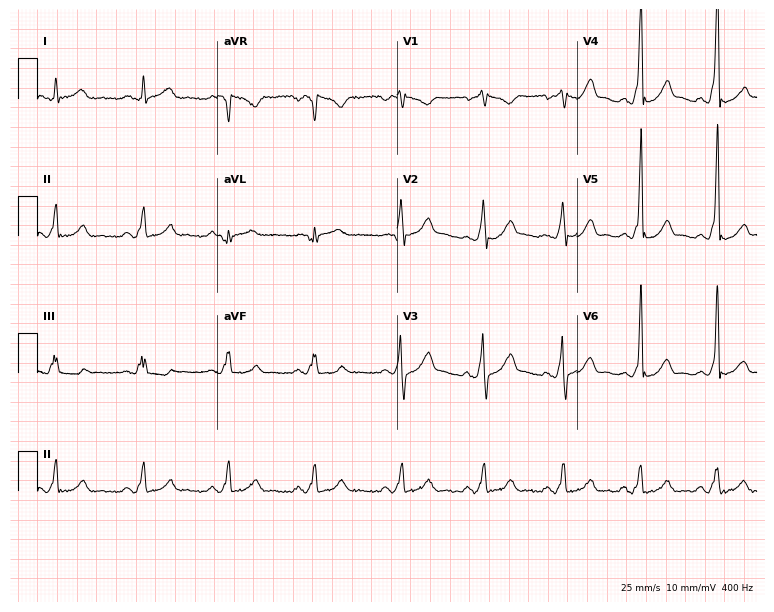
Standard 12-lead ECG recorded from a 34-year-old man (7.3-second recording at 400 Hz). None of these six findings is recorded: first-degree AV block, right bundle branch block, left bundle branch block, sinus bradycardia, atrial fibrillation, sinus tachycardia.